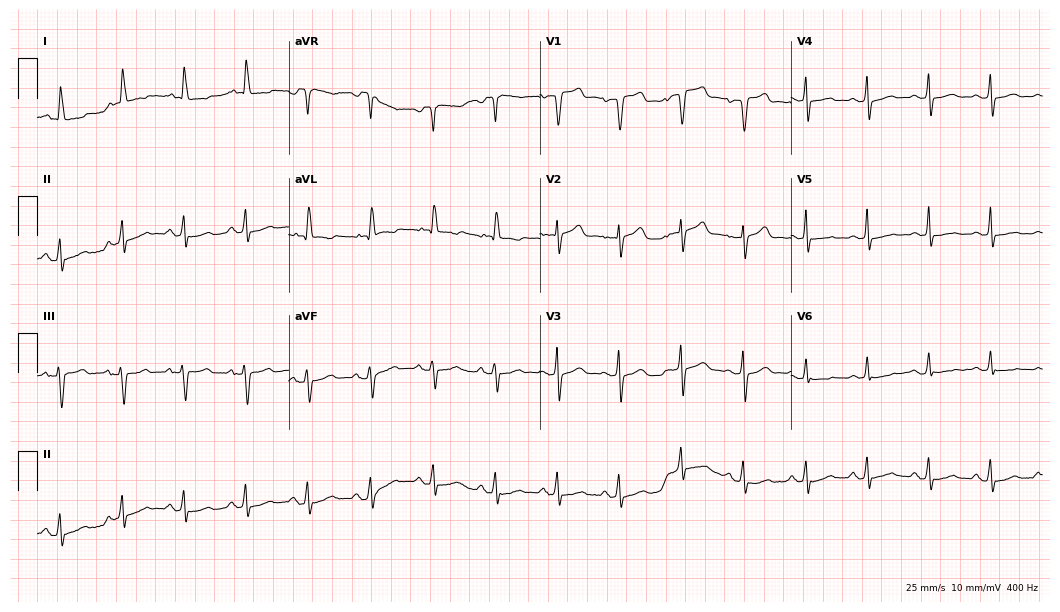
12-lead ECG from a woman, 77 years old. Screened for six findings — first-degree AV block, right bundle branch block, left bundle branch block, sinus bradycardia, atrial fibrillation, sinus tachycardia — none is recorded.